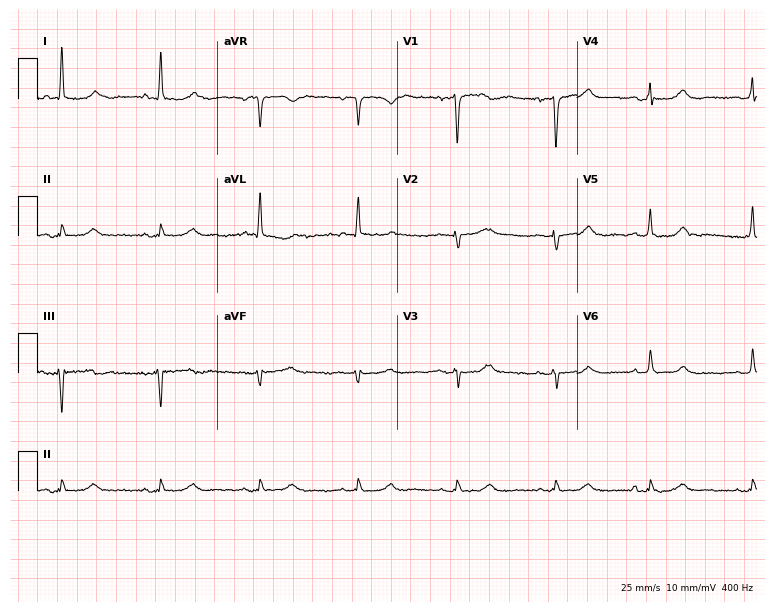
12-lead ECG from a 74-year-old female patient. Recorded interpretation: within normal limits.